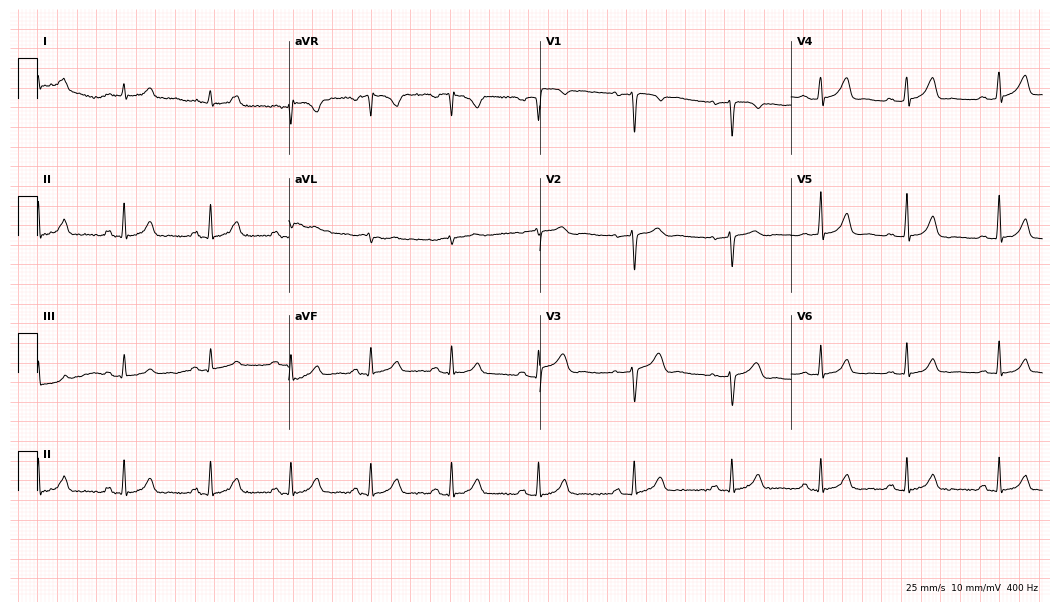
12-lead ECG from a female patient, 29 years old (10.2-second recording at 400 Hz). Recorded interpretation: within normal limits.